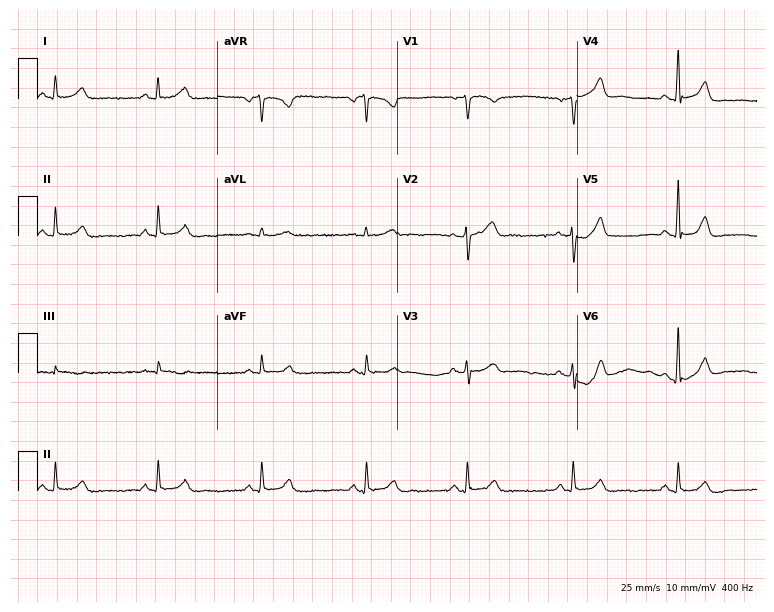
ECG — a male patient, 46 years old. Screened for six findings — first-degree AV block, right bundle branch block, left bundle branch block, sinus bradycardia, atrial fibrillation, sinus tachycardia — none is recorded. Only these six findings were labelled.